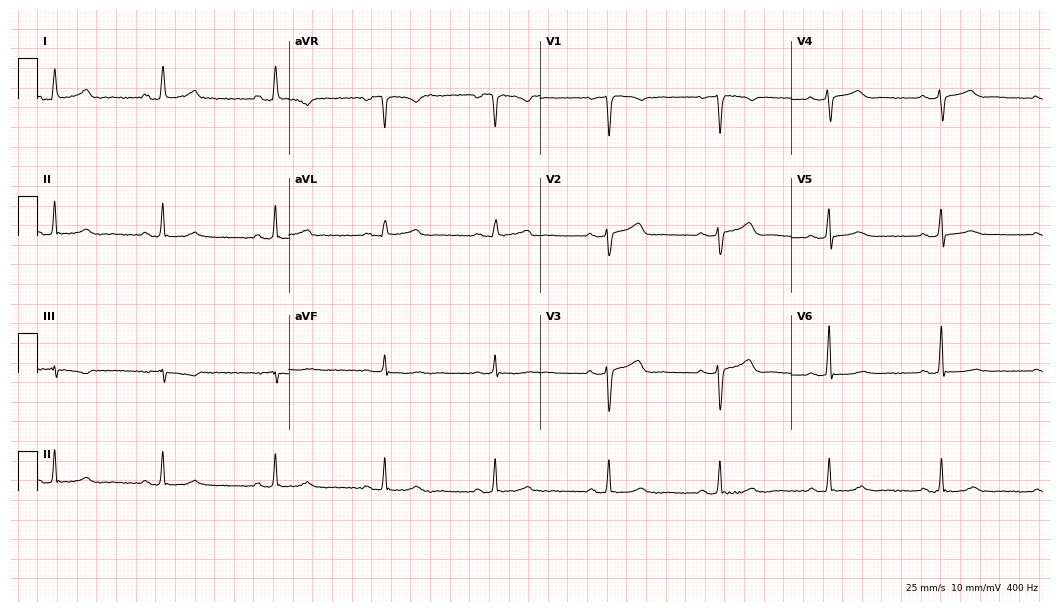
12-lead ECG from a 50-year-old female patient (10.2-second recording at 400 Hz). No first-degree AV block, right bundle branch block, left bundle branch block, sinus bradycardia, atrial fibrillation or sinus tachycardia recorded for this tracing.